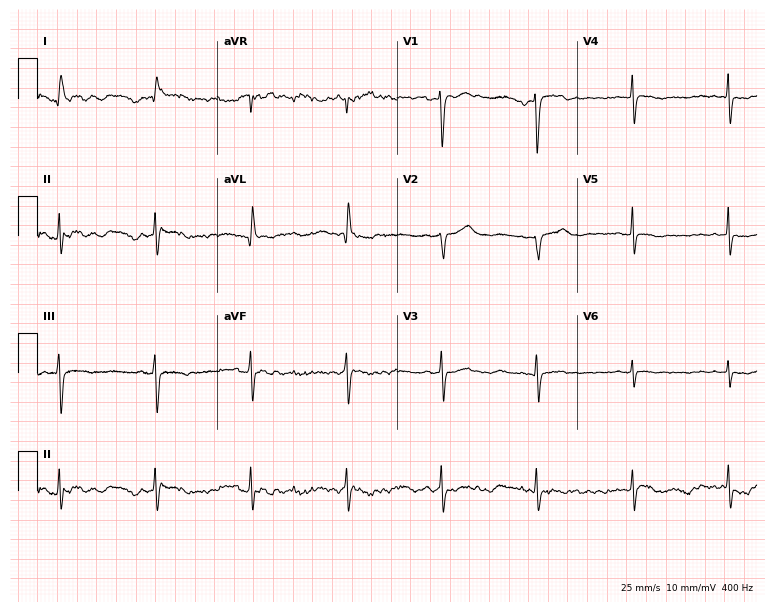
Electrocardiogram, a female patient, 66 years old. Of the six screened findings (first-degree AV block, right bundle branch block (RBBB), left bundle branch block (LBBB), sinus bradycardia, atrial fibrillation (AF), sinus tachycardia), none is recorded.